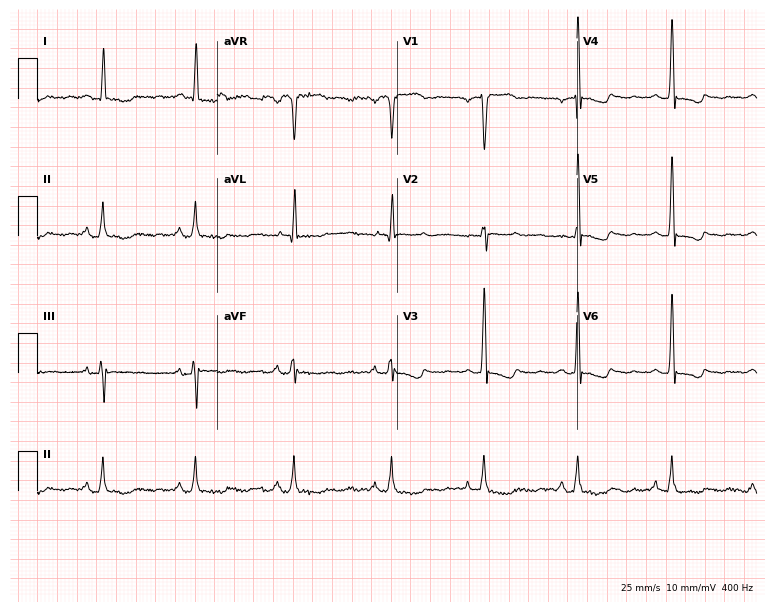
ECG — a 58-year-old female patient. Screened for six findings — first-degree AV block, right bundle branch block (RBBB), left bundle branch block (LBBB), sinus bradycardia, atrial fibrillation (AF), sinus tachycardia — none is recorded. Only these six findings were labelled.